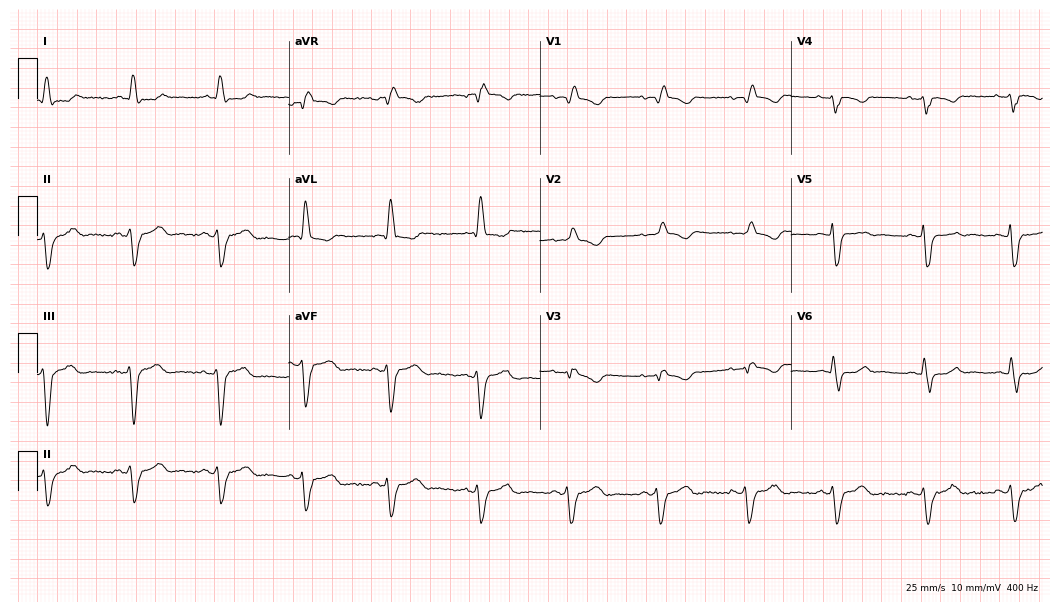
ECG (10.2-second recording at 400 Hz) — a woman, 67 years old. Findings include right bundle branch block.